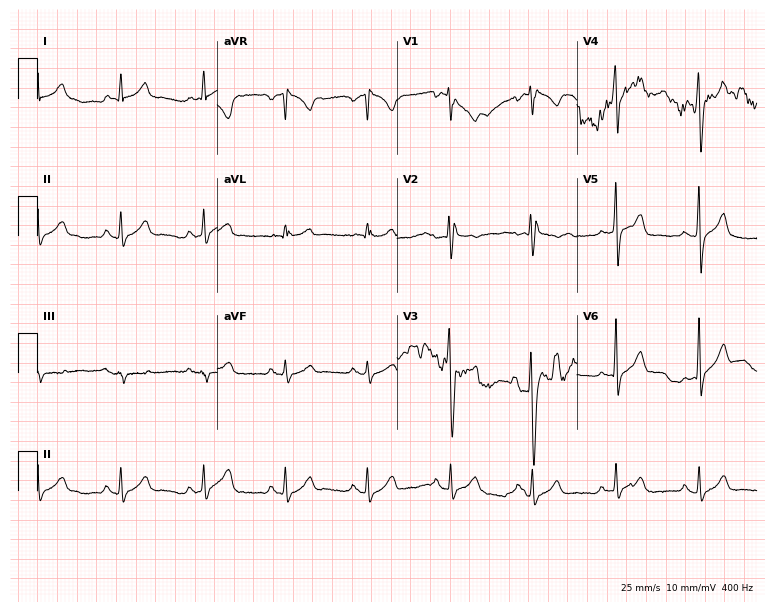
Resting 12-lead electrocardiogram (7.3-second recording at 400 Hz). Patient: a male, 31 years old. Read as a normal ECG.